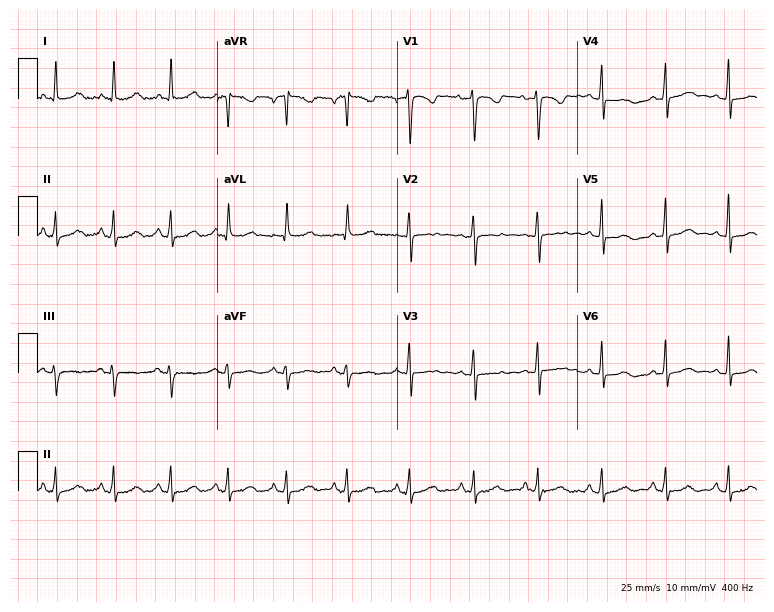
Standard 12-lead ECG recorded from a female, 40 years old (7.3-second recording at 400 Hz). None of these six findings is recorded: first-degree AV block, right bundle branch block (RBBB), left bundle branch block (LBBB), sinus bradycardia, atrial fibrillation (AF), sinus tachycardia. Only these six findings were labelled.